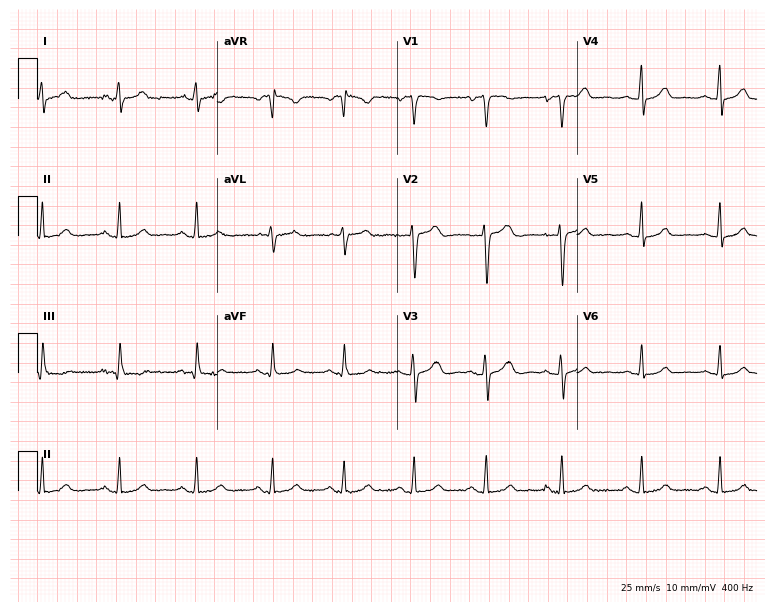
ECG (7.3-second recording at 400 Hz) — a 20-year-old female. Labelled as a normal ECG.